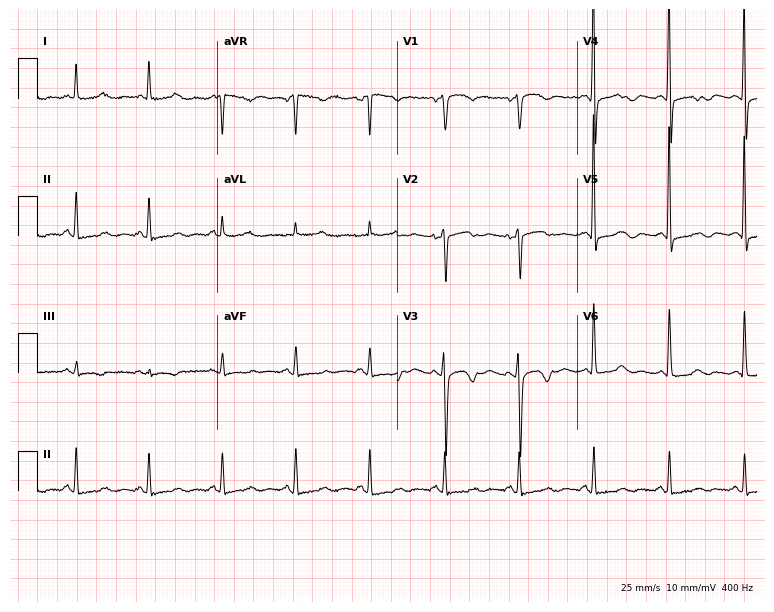
Electrocardiogram (7.3-second recording at 400 Hz), a 74-year-old female patient. Of the six screened findings (first-degree AV block, right bundle branch block, left bundle branch block, sinus bradycardia, atrial fibrillation, sinus tachycardia), none is recorded.